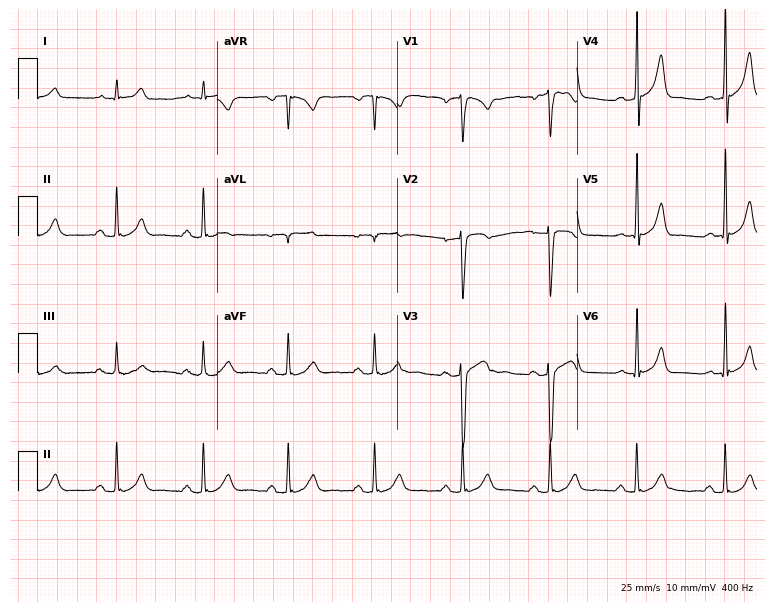
Resting 12-lead electrocardiogram (7.3-second recording at 400 Hz). Patient: a man, 40 years old. None of these six findings is recorded: first-degree AV block, right bundle branch block, left bundle branch block, sinus bradycardia, atrial fibrillation, sinus tachycardia.